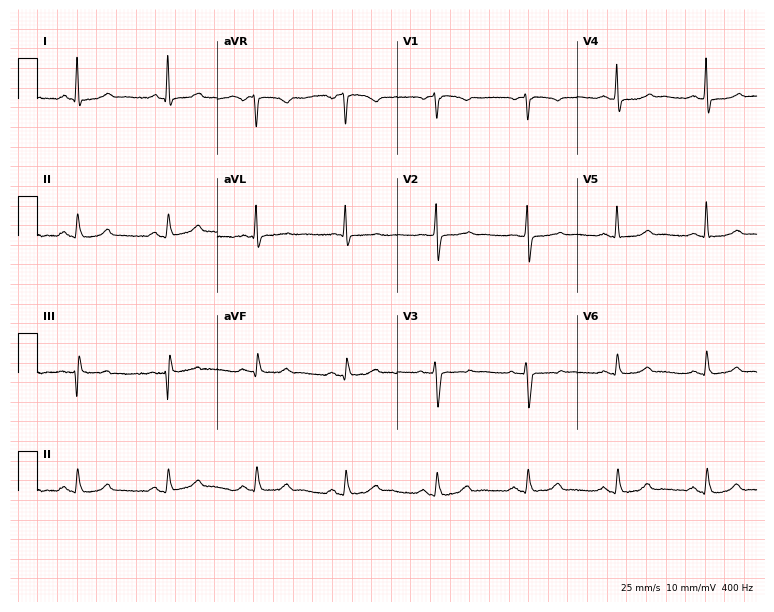
ECG (7.3-second recording at 400 Hz) — a 57-year-old female. Screened for six findings — first-degree AV block, right bundle branch block (RBBB), left bundle branch block (LBBB), sinus bradycardia, atrial fibrillation (AF), sinus tachycardia — none is recorded. Other findings, if any, are not listed.